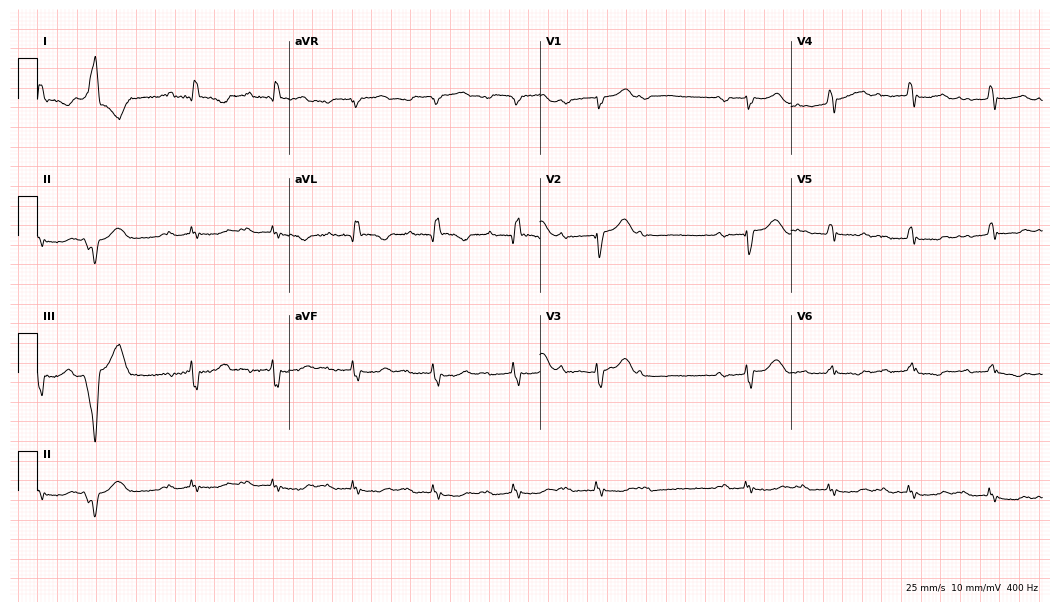
Resting 12-lead electrocardiogram. Patient: a male, 75 years old. None of these six findings is recorded: first-degree AV block, right bundle branch block (RBBB), left bundle branch block (LBBB), sinus bradycardia, atrial fibrillation (AF), sinus tachycardia. Only these six findings were labelled.